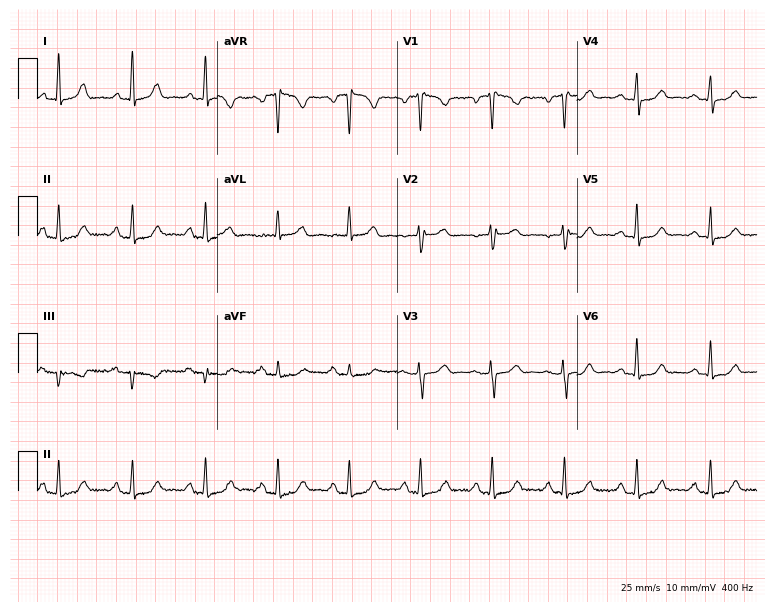
ECG (7.3-second recording at 400 Hz) — a female, 53 years old. Screened for six findings — first-degree AV block, right bundle branch block, left bundle branch block, sinus bradycardia, atrial fibrillation, sinus tachycardia — none is recorded.